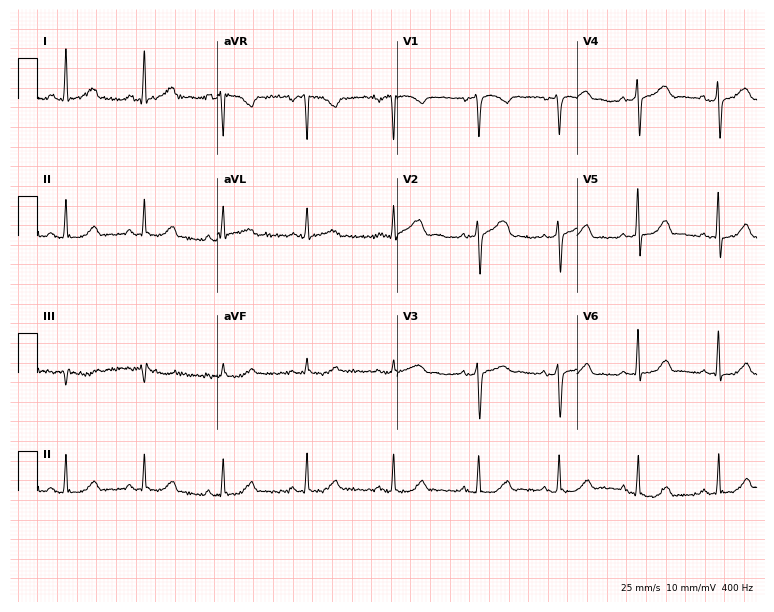
Standard 12-lead ECG recorded from a woman, 54 years old (7.3-second recording at 400 Hz). Read as a normal ECG.